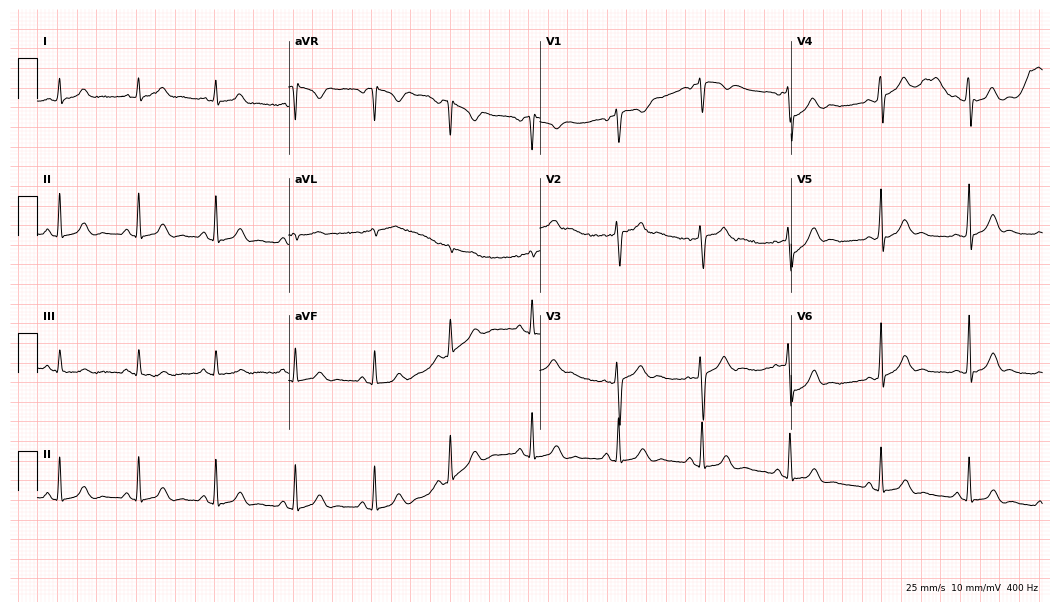
Electrocardiogram, a woman, 33 years old. Overall reading on record: normal ECG.